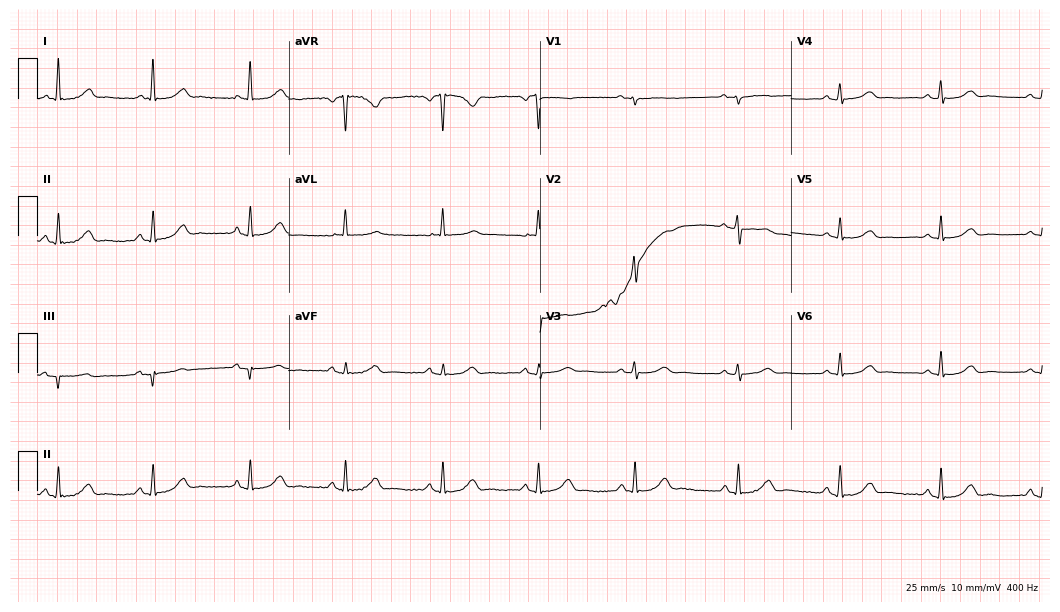
Resting 12-lead electrocardiogram (10.2-second recording at 400 Hz). Patient: a 63-year-old female. None of these six findings is recorded: first-degree AV block, right bundle branch block, left bundle branch block, sinus bradycardia, atrial fibrillation, sinus tachycardia. Only these six findings were labelled.